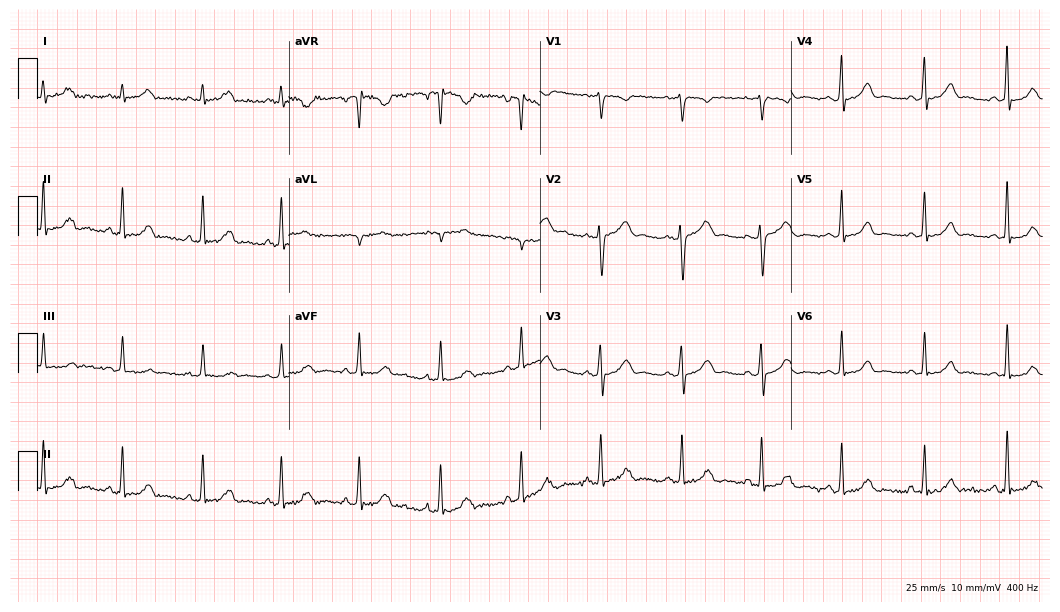
12-lead ECG from a 30-year-old female. No first-degree AV block, right bundle branch block (RBBB), left bundle branch block (LBBB), sinus bradycardia, atrial fibrillation (AF) or sinus tachycardia recorded for this tracing.